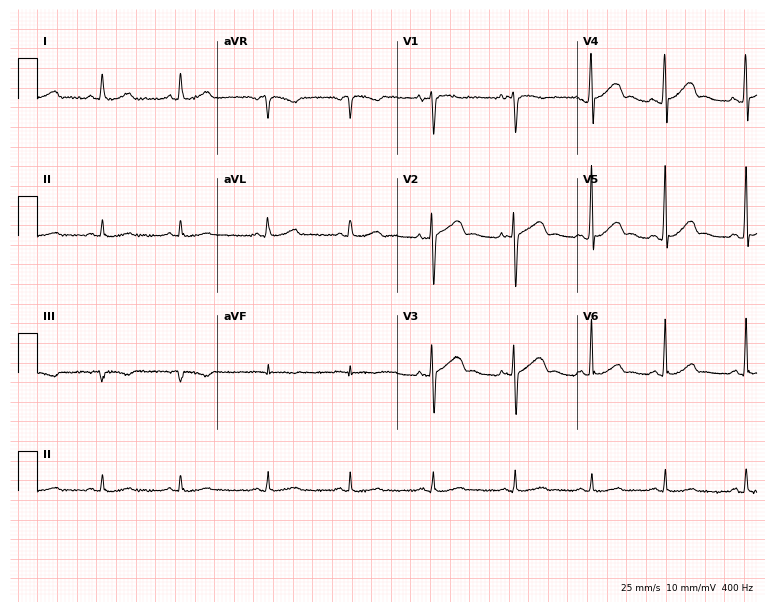
Resting 12-lead electrocardiogram. Patient: a 38-year-old female. Read as a normal ECG.